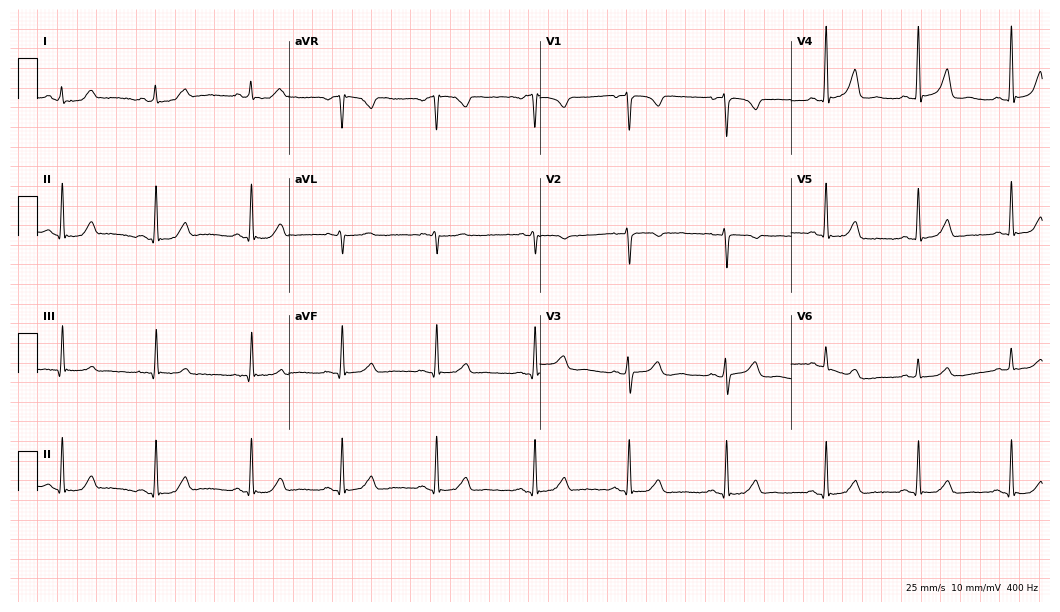
Standard 12-lead ECG recorded from a 44-year-old female (10.2-second recording at 400 Hz). None of these six findings is recorded: first-degree AV block, right bundle branch block (RBBB), left bundle branch block (LBBB), sinus bradycardia, atrial fibrillation (AF), sinus tachycardia. Only these six findings were labelled.